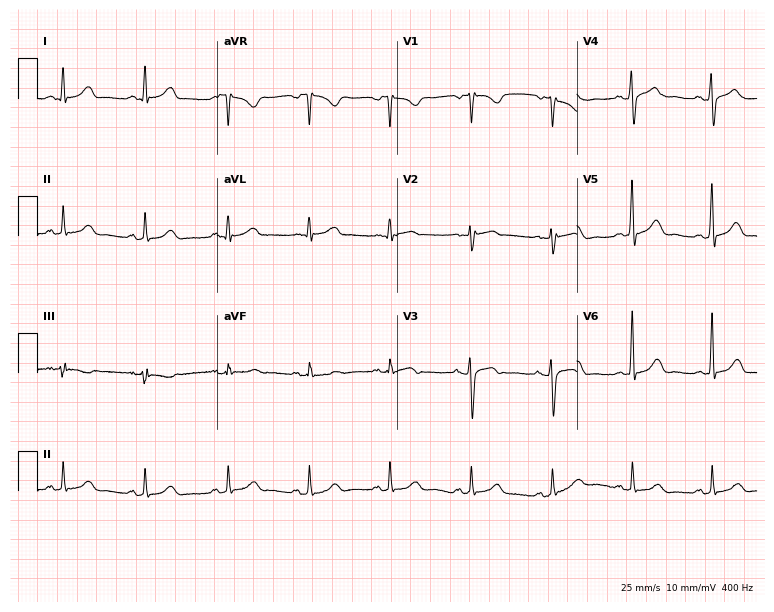
Electrocardiogram (7.3-second recording at 400 Hz), a woman, 48 years old. Overall reading on record: normal ECG.